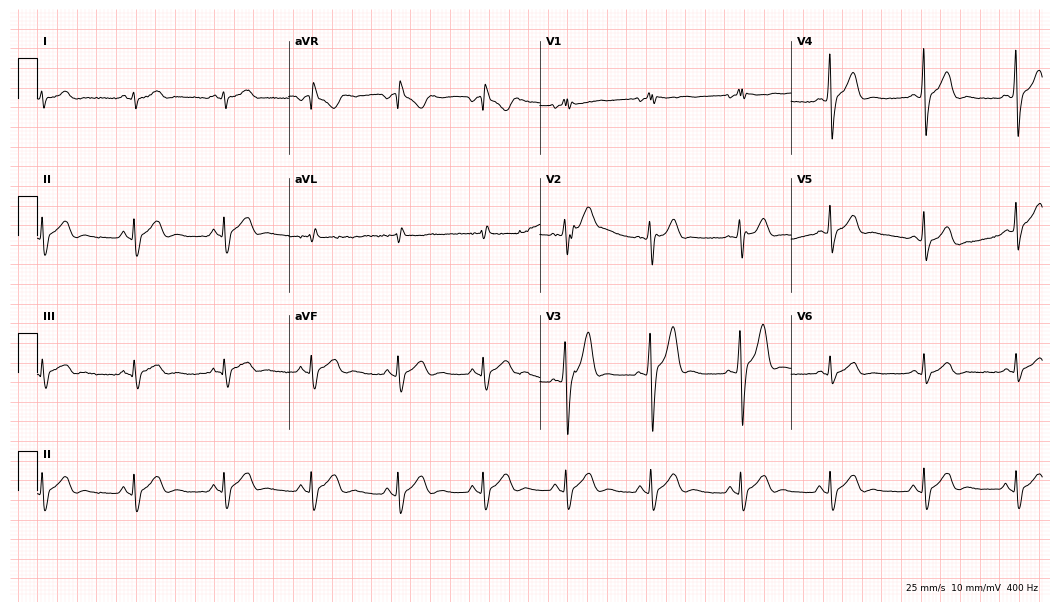
Electrocardiogram (10.2-second recording at 400 Hz), a 22-year-old male patient. Of the six screened findings (first-degree AV block, right bundle branch block, left bundle branch block, sinus bradycardia, atrial fibrillation, sinus tachycardia), none is recorded.